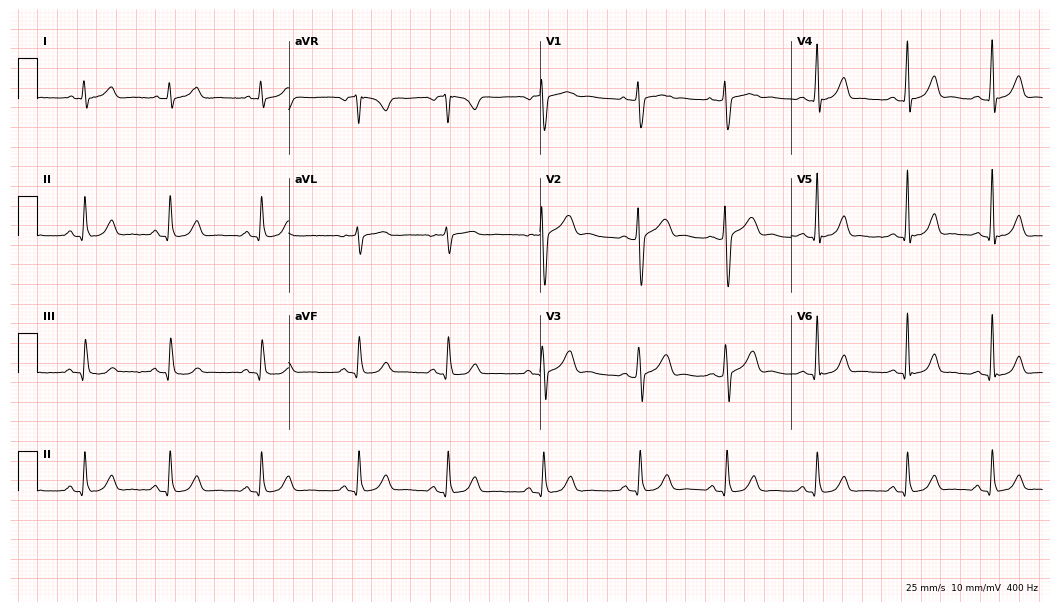
ECG — a 23-year-old male. Labelled as a normal ECG.